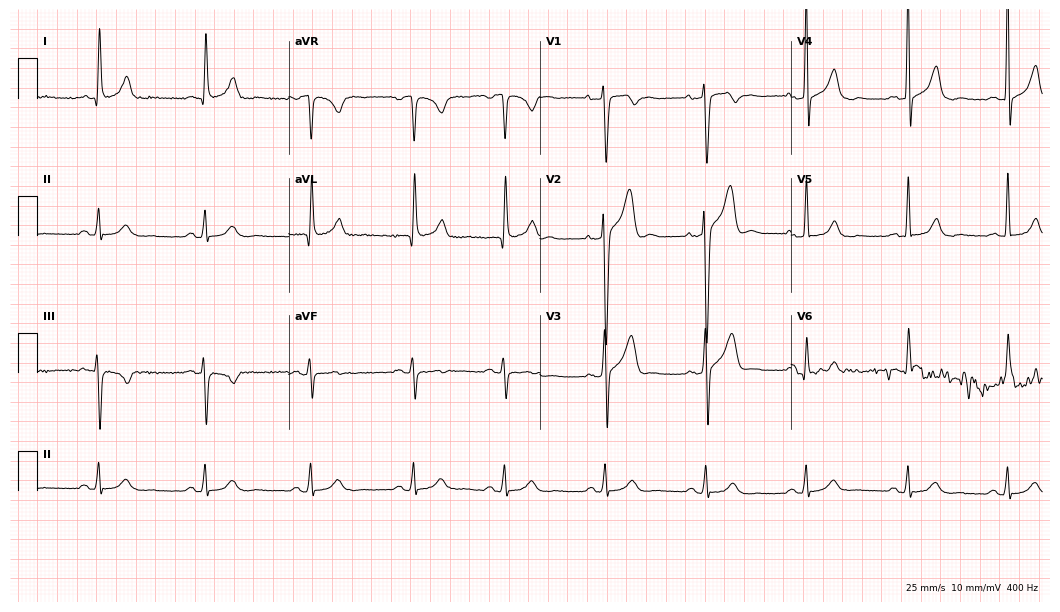
Resting 12-lead electrocardiogram. Patient: a male, 59 years old. None of these six findings is recorded: first-degree AV block, right bundle branch block (RBBB), left bundle branch block (LBBB), sinus bradycardia, atrial fibrillation (AF), sinus tachycardia. Other findings, if any, are not listed.